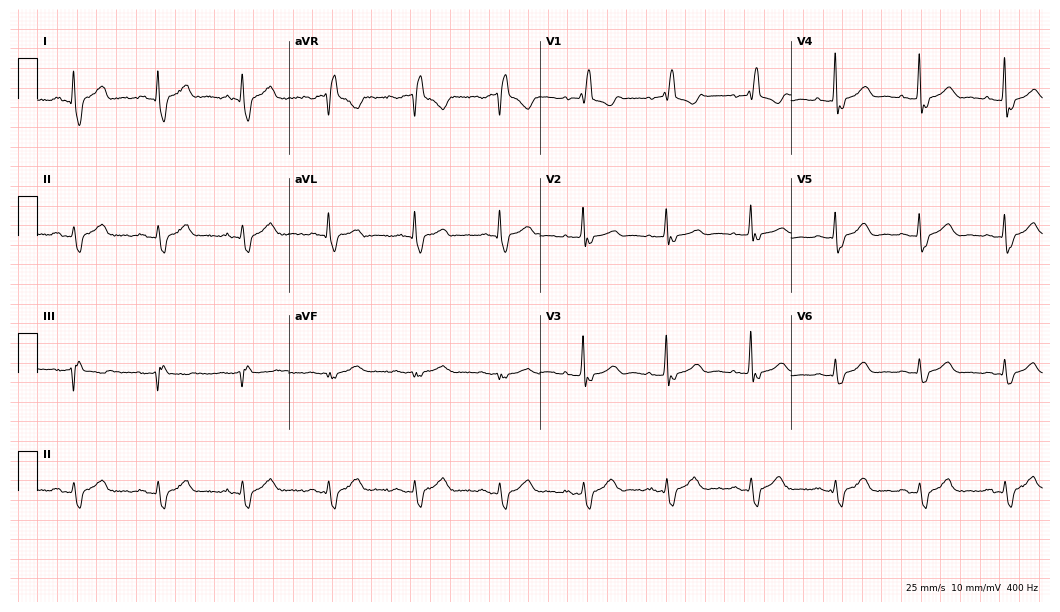
ECG — a female patient, 65 years old. Screened for six findings — first-degree AV block, right bundle branch block, left bundle branch block, sinus bradycardia, atrial fibrillation, sinus tachycardia — none is recorded.